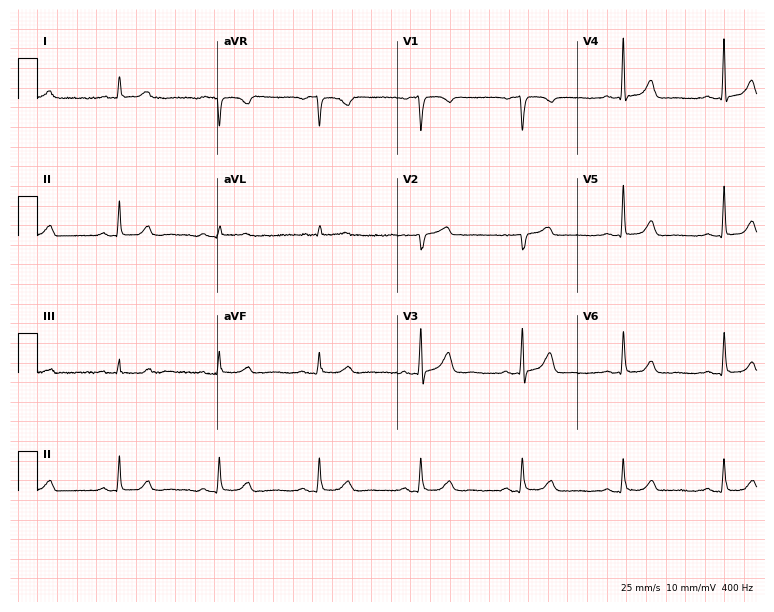
Resting 12-lead electrocardiogram (7.3-second recording at 400 Hz). Patient: a 73-year-old male. Read as a normal ECG.